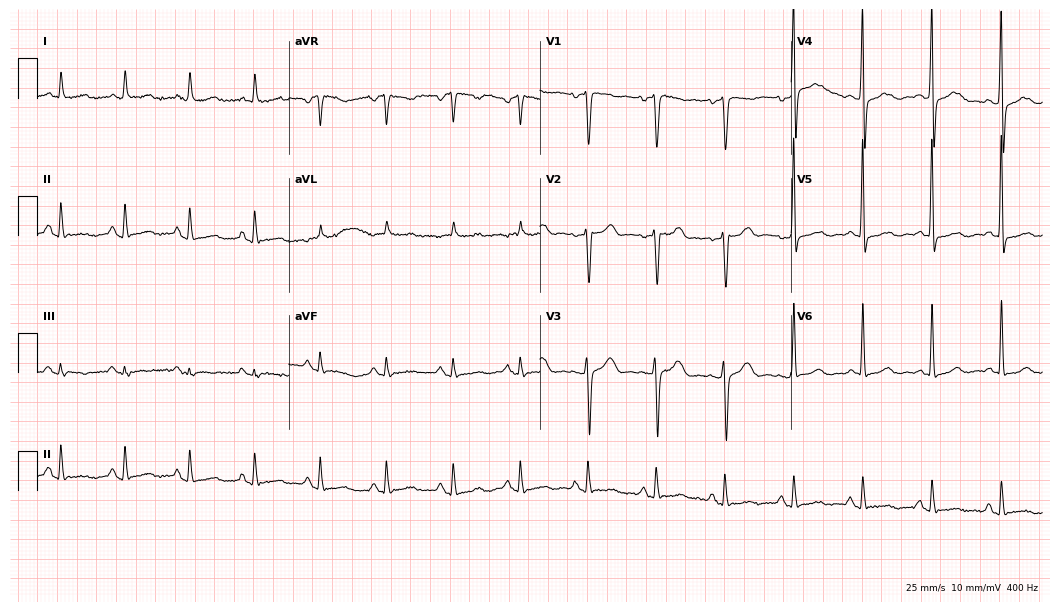
12-lead ECG from a 79-year-old female patient. Screened for six findings — first-degree AV block, right bundle branch block, left bundle branch block, sinus bradycardia, atrial fibrillation, sinus tachycardia — none is recorded. Only these six findings were labelled.